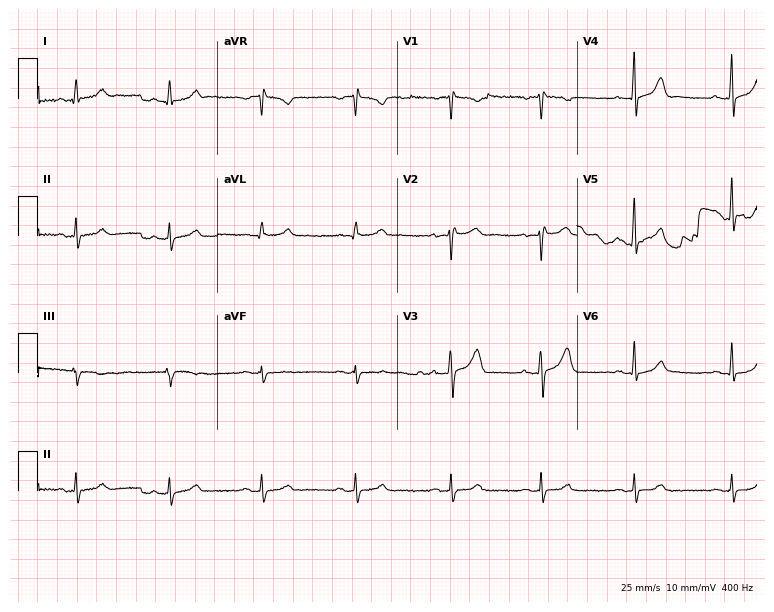
12-lead ECG from a male, 35 years old (7.3-second recording at 400 Hz). No first-degree AV block, right bundle branch block, left bundle branch block, sinus bradycardia, atrial fibrillation or sinus tachycardia recorded for this tracing.